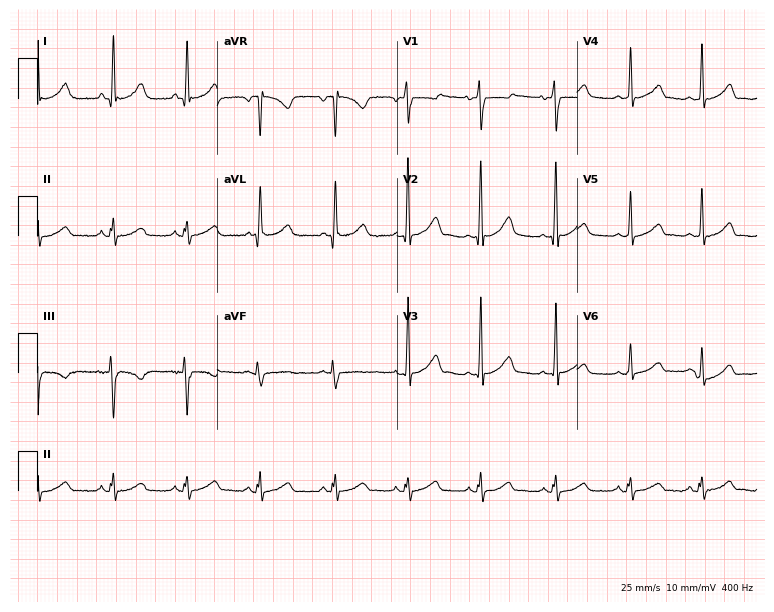
ECG (7.3-second recording at 400 Hz) — a female patient, 32 years old. Screened for six findings — first-degree AV block, right bundle branch block (RBBB), left bundle branch block (LBBB), sinus bradycardia, atrial fibrillation (AF), sinus tachycardia — none is recorded.